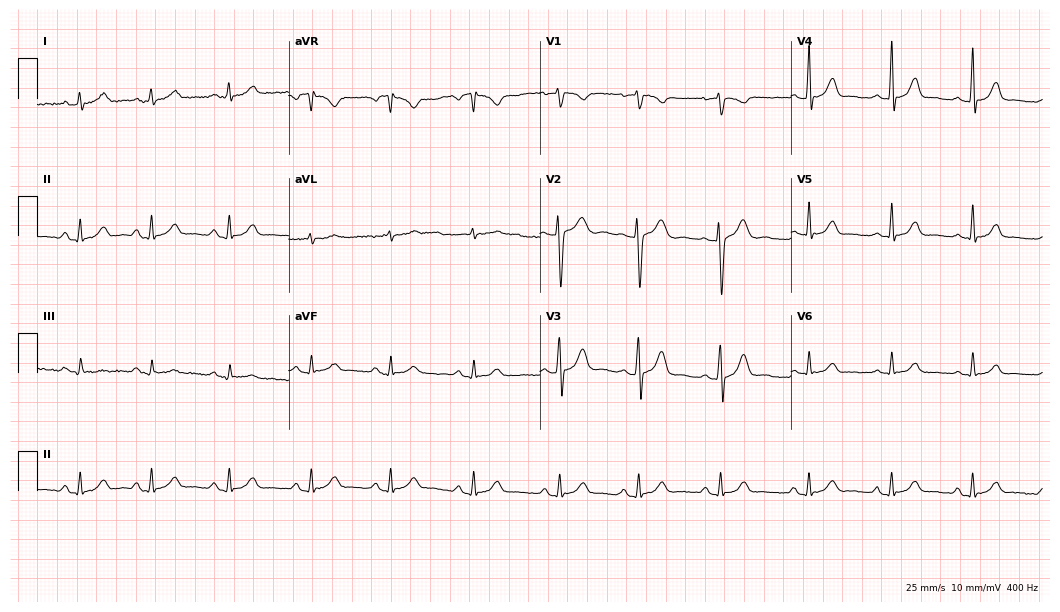
12-lead ECG from a 27-year-old female patient. Labelled as a normal ECG.